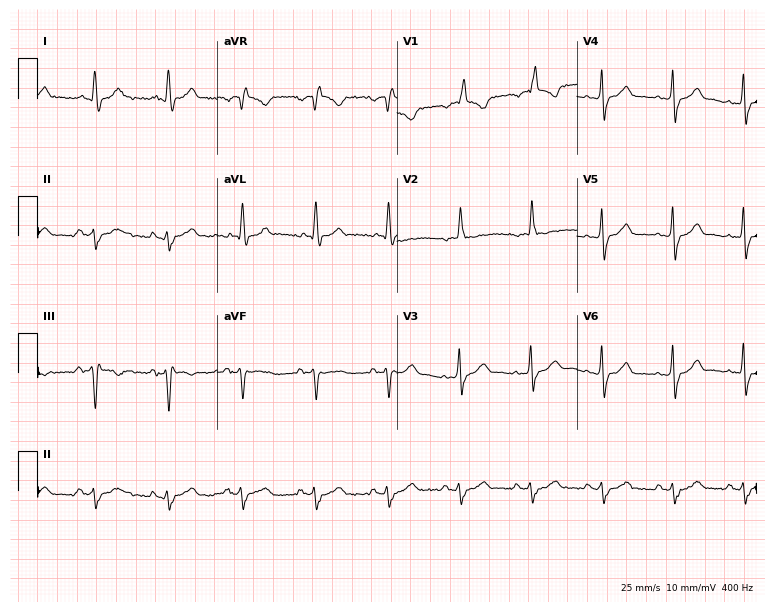
ECG (7.3-second recording at 400 Hz) — a 61-year-old man. Findings include right bundle branch block.